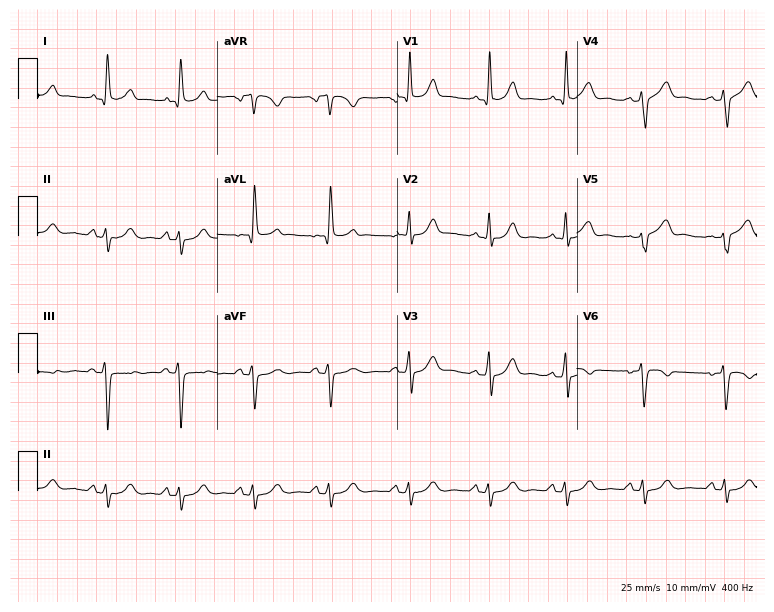
Resting 12-lead electrocardiogram (7.3-second recording at 400 Hz). Patient: a 24-year-old female. None of these six findings is recorded: first-degree AV block, right bundle branch block, left bundle branch block, sinus bradycardia, atrial fibrillation, sinus tachycardia.